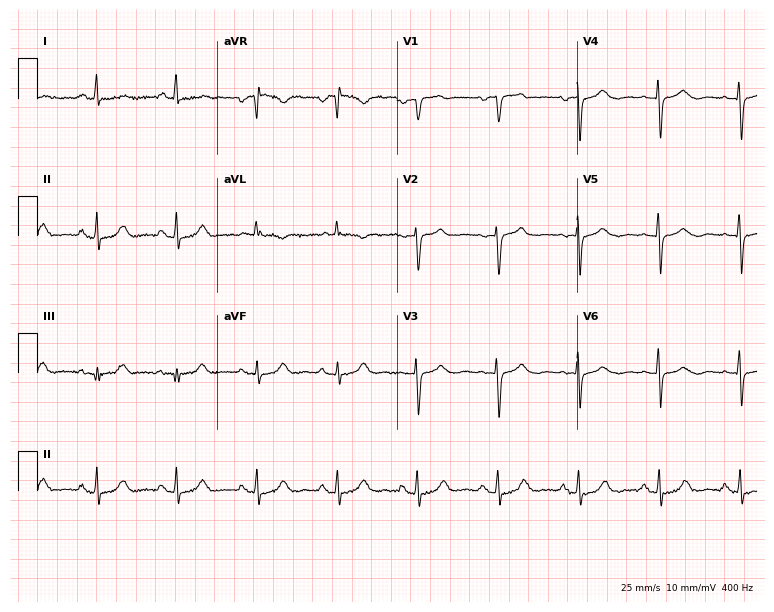
12-lead ECG from a woman, 68 years old (7.3-second recording at 400 Hz). No first-degree AV block, right bundle branch block (RBBB), left bundle branch block (LBBB), sinus bradycardia, atrial fibrillation (AF) or sinus tachycardia recorded for this tracing. Other findings, if any, are not listed.